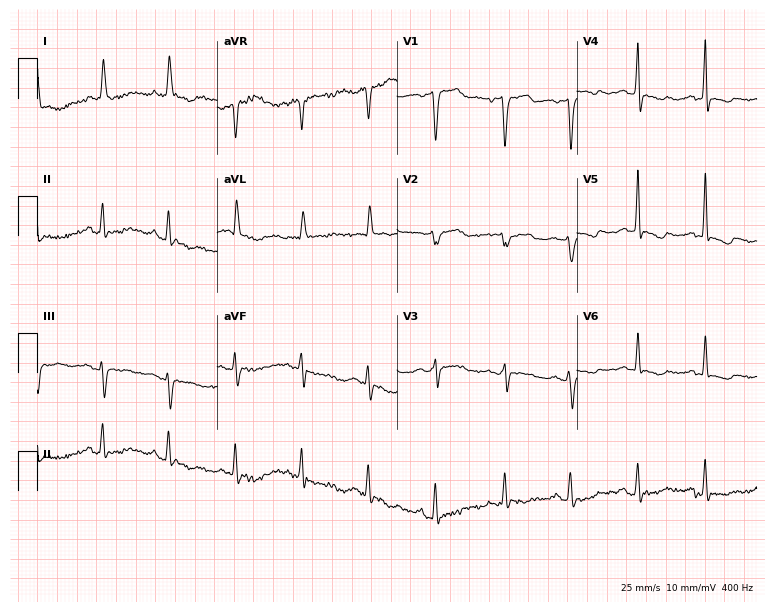
12-lead ECG from a 68-year-old female patient. No first-degree AV block, right bundle branch block (RBBB), left bundle branch block (LBBB), sinus bradycardia, atrial fibrillation (AF) or sinus tachycardia recorded for this tracing. Other findings, if any, are not listed.